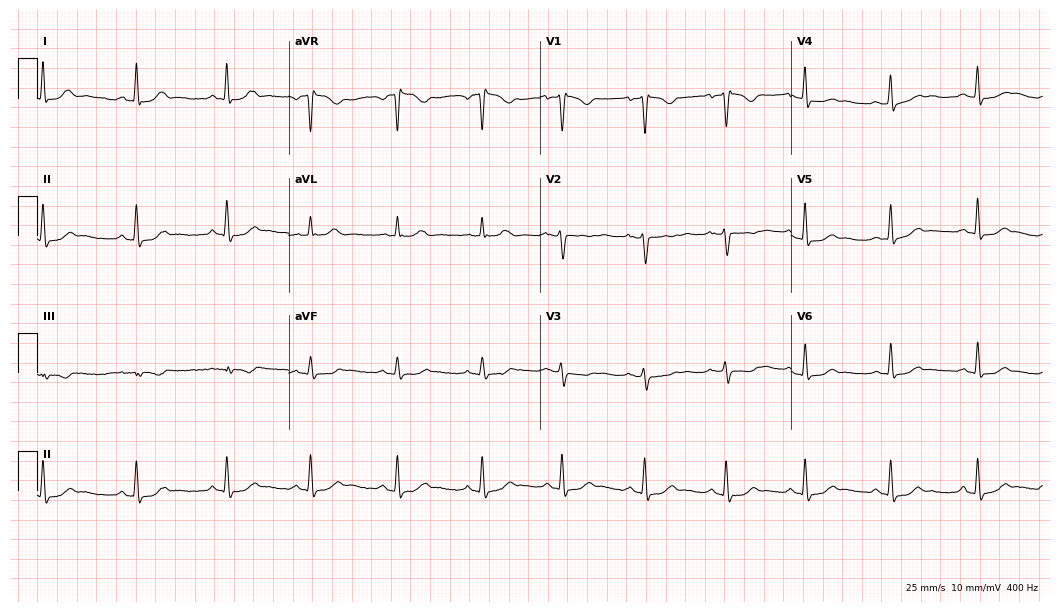
Electrocardiogram, a woman, 31 years old. Of the six screened findings (first-degree AV block, right bundle branch block, left bundle branch block, sinus bradycardia, atrial fibrillation, sinus tachycardia), none is recorded. Only these six findings were labelled.